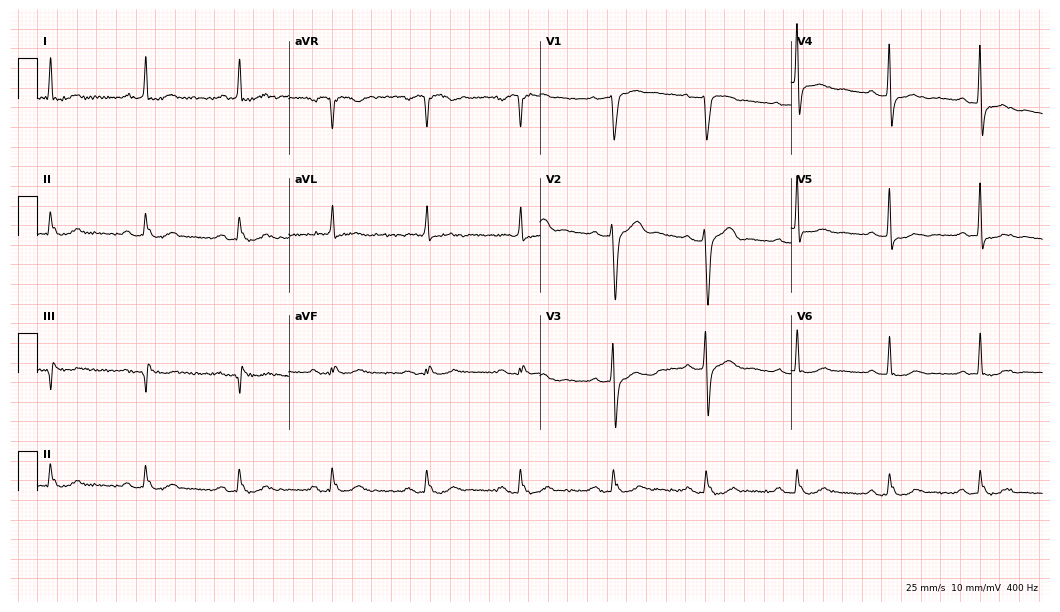
Standard 12-lead ECG recorded from a male patient, 68 years old (10.2-second recording at 400 Hz). None of these six findings is recorded: first-degree AV block, right bundle branch block, left bundle branch block, sinus bradycardia, atrial fibrillation, sinus tachycardia.